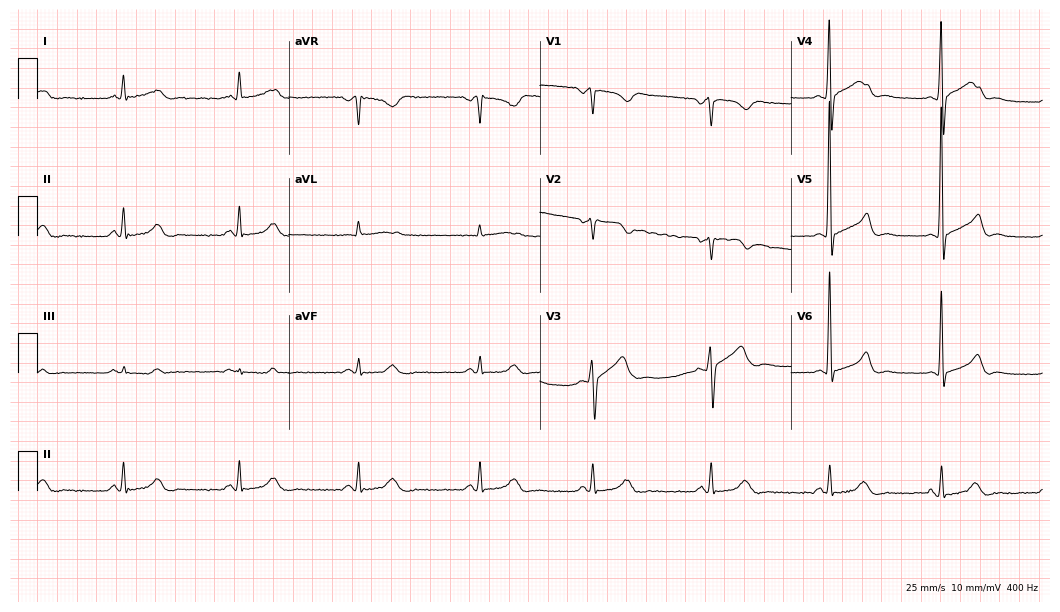
12-lead ECG from a male, 54 years old (10.2-second recording at 400 Hz). Recorded interpretation: within normal limits.